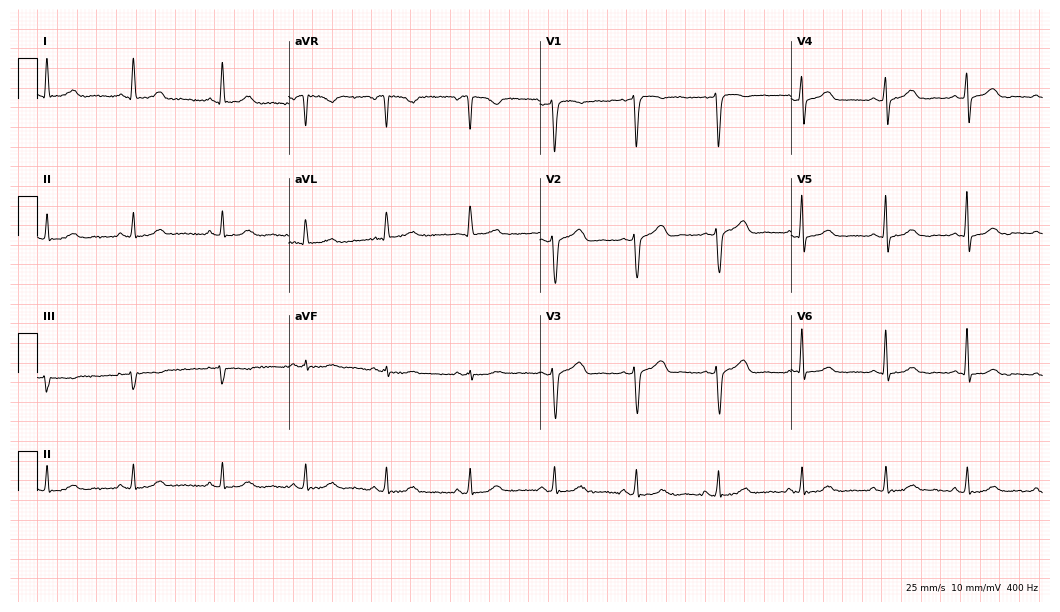
Standard 12-lead ECG recorded from a female patient, 55 years old. Read as a normal ECG.